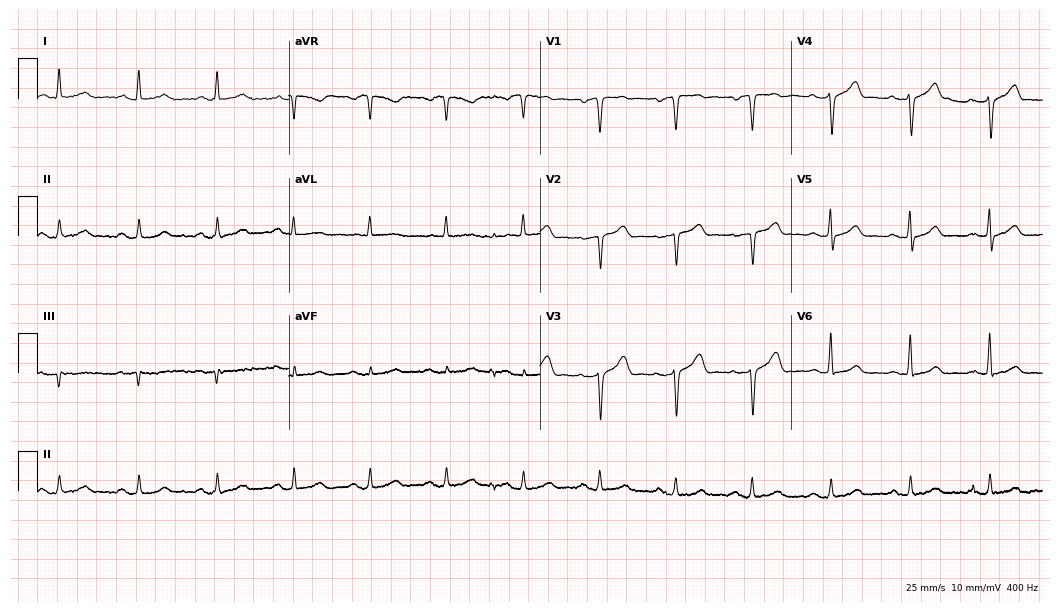
Electrocardiogram, a 66-year-old male patient. Of the six screened findings (first-degree AV block, right bundle branch block (RBBB), left bundle branch block (LBBB), sinus bradycardia, atrial fibrillation (AF), sinus tachycardia), none is recorded. Only these six findings were labelled.